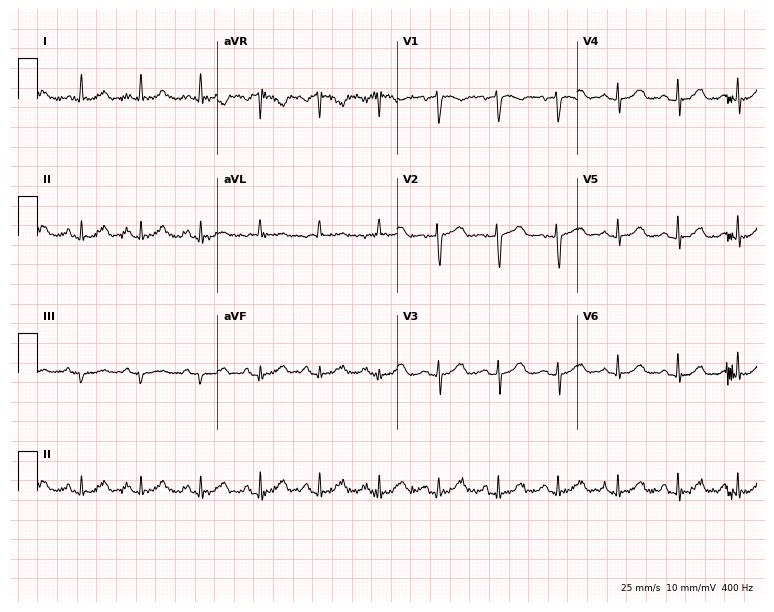
Standard 12-lead ECG recorded from a female, 69 years old (7.3-second recording at 400 Hz). None of these six findings is recorded: first-degree AV block, right bundle branch block, left bundle branch block, sinus bradycardia, atrial fibrillation, sinus tachycardia. Findings outside these six are not listed.